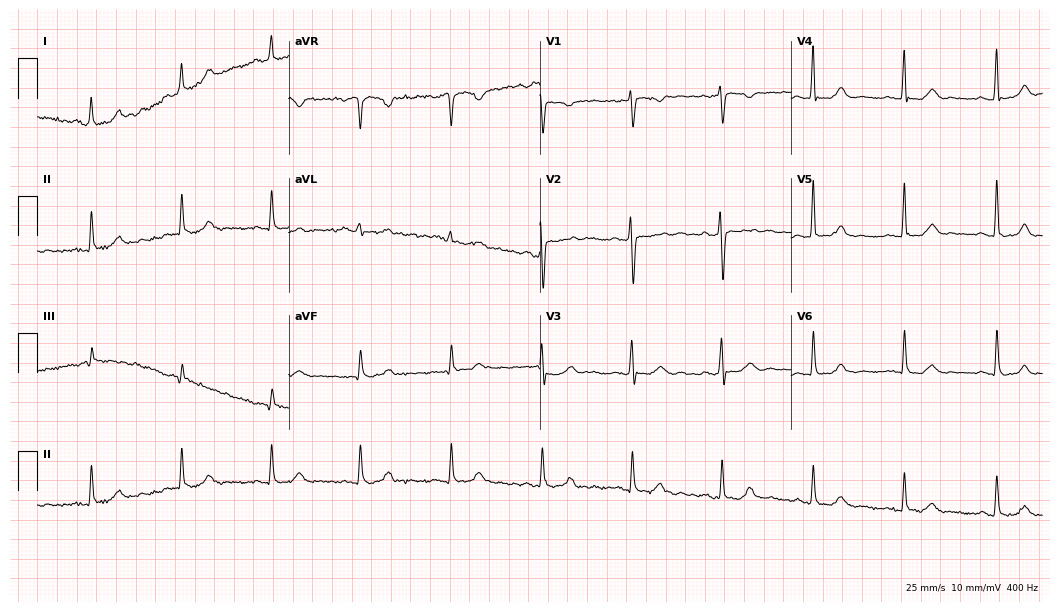
12-lead ECG (10.2-second recording at 400 Hz) from a 58-year-old woman. Screened for six findings — first-degree AV block, right bundle branch block (RBBB), left bundle branch block (LBBB), sinus bradycardia, atrial fibrillation (AF), sinus tachycardia — none is recorded.